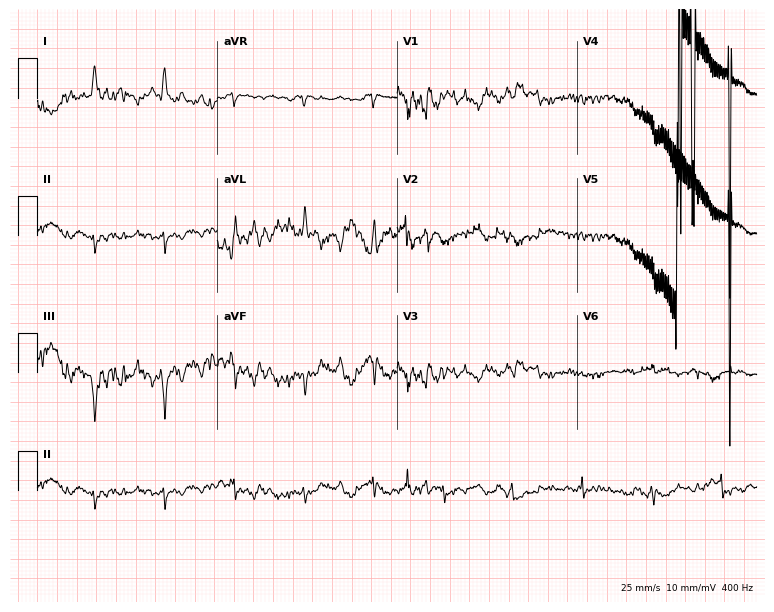
ECG — an 80-year-old male. Screened for six findings — first-degree AV block, right bundle branch block, left bundle branch block, sinus bradycardia, atrial fibrillation, sinus tachycardia — none is recorded.